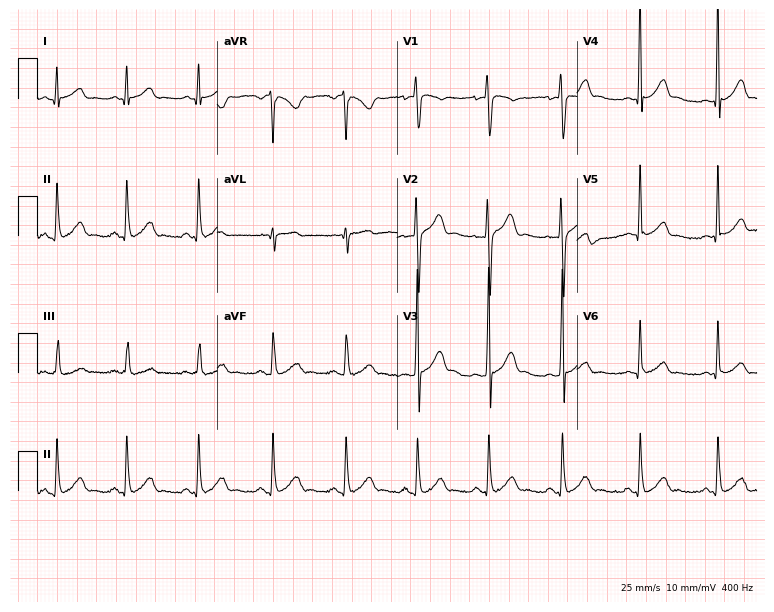
Electrocardiogram, a 17-year-old male. Overall reading on record: normal ECG.